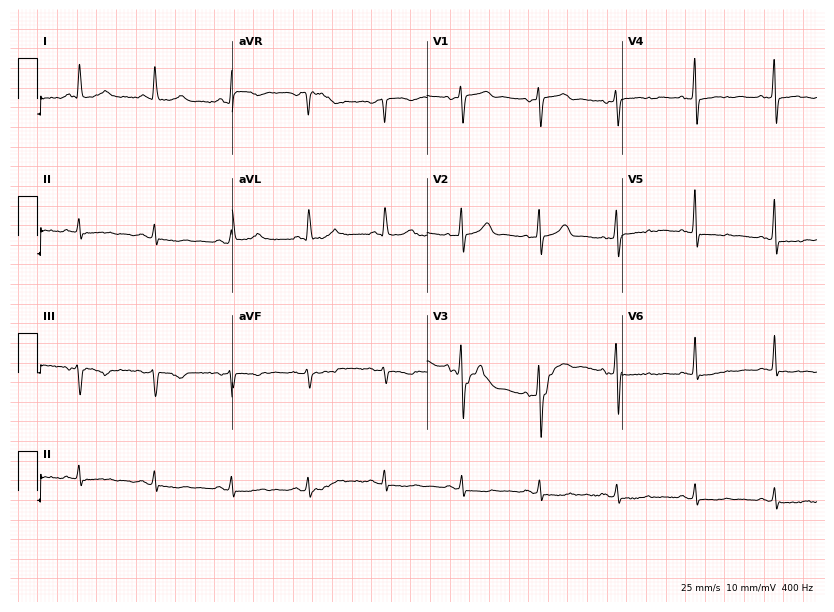
Resting 12-lead electrocardiogram. Patient: a male, 68 years old. None of these six findings is recorded: first-degree AV block, right bundle branch block (RBBB), left bundle branch block (LBBB), sinus bradycardia, atrial fibrillation (AF), sinus tachycardia.